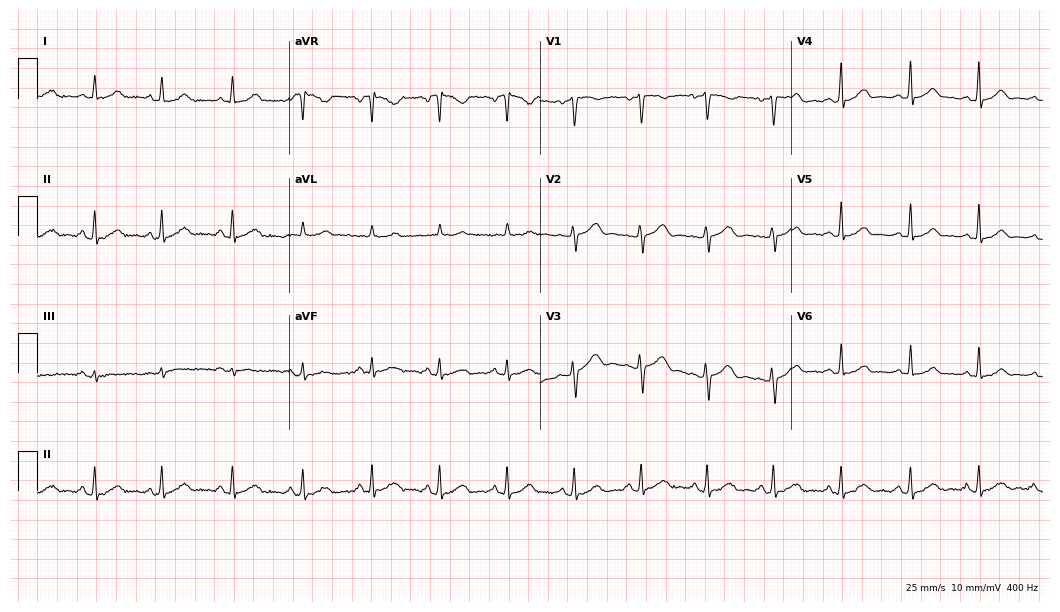
Resting 12-lead electrocardiogram (10.2-second recording at 400 Hz). Patient: a woman, 45 years old. None of these six findings is recorded: first-degree AV block, right bundle branch block (RBBB), left bundle branch block (LBBB), sinus bradycardia, atrial fibrillation (AF), sinus tachycardia. Findings outside these six are not listed.